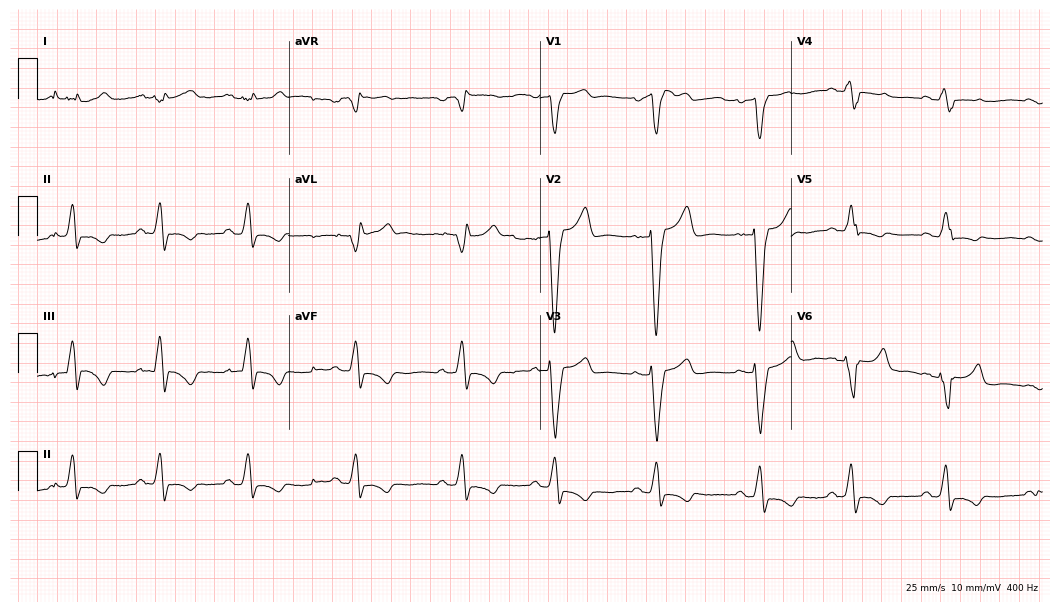
Electrocardiogram, a female, 45 years old. Of the six screened findings (first-degree AV block, right bundle branch block (RBBB), left bundle branch block (LBBB), sinus bradycardia, atrial fibrillation (AF), sinus tachycardia), none is recorded.